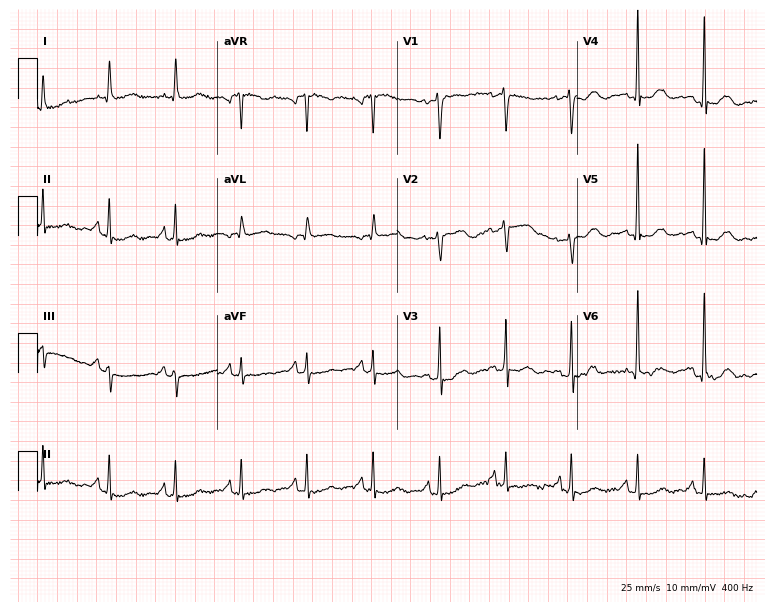
ECG — a 66-year-old female. Screened for six findings — first-degree AV block, right bundle branch block (RBBB), left bundle branch block (LBBB), sinus bradycardia, atrial fibrillation (AF), sinus tachycardia — none is recorded.